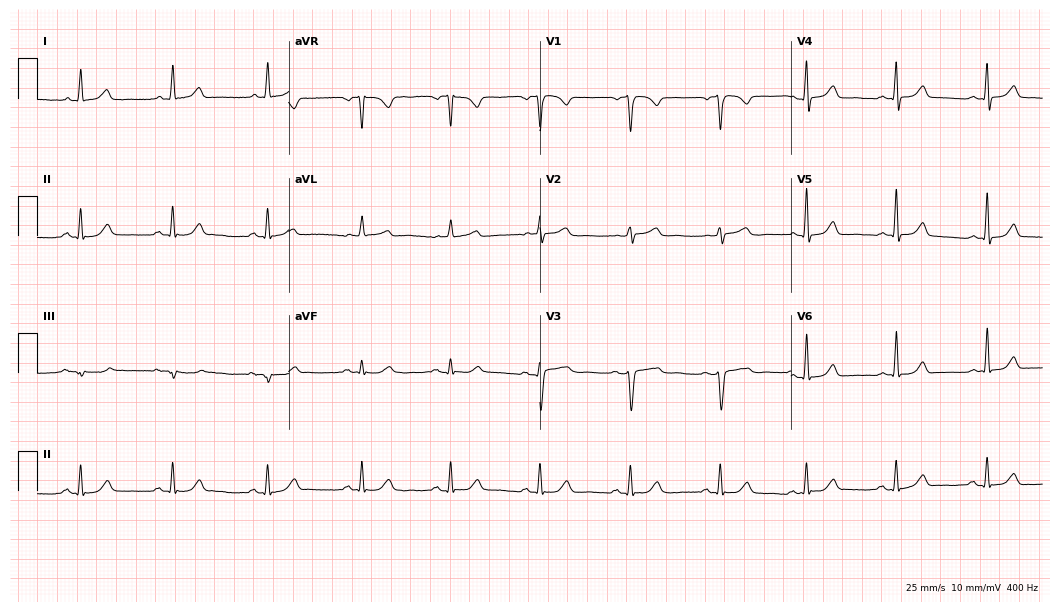
12-lead ECG from a 59-year-old female (10.2-second recording at 400 Hz). Recorded interpretation: within normal limits.